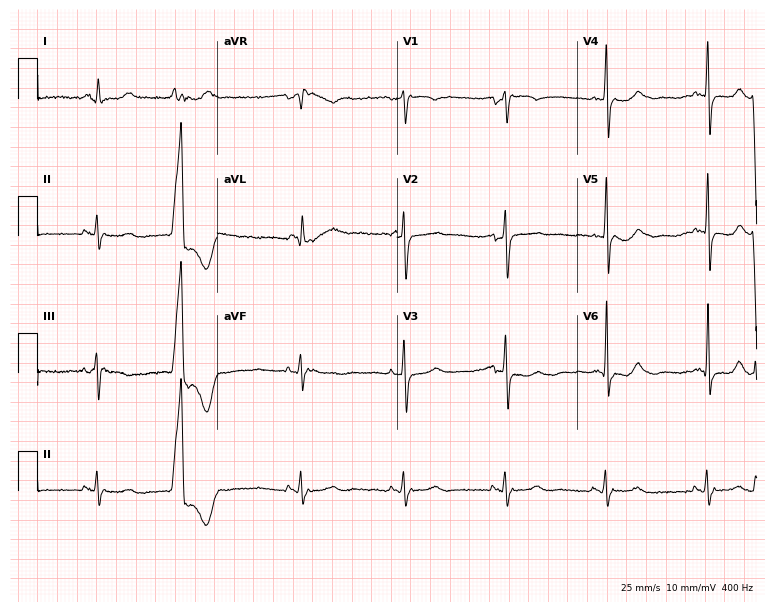
12-lead ECG from a male, 60 years old (7.3-second recording at 400 Hz). No first-degree AV block, right bundle branch block, left bundle branch block, sinus bradycardia, atrial fibrillation or sinus tachycardia recorded for this tracing.